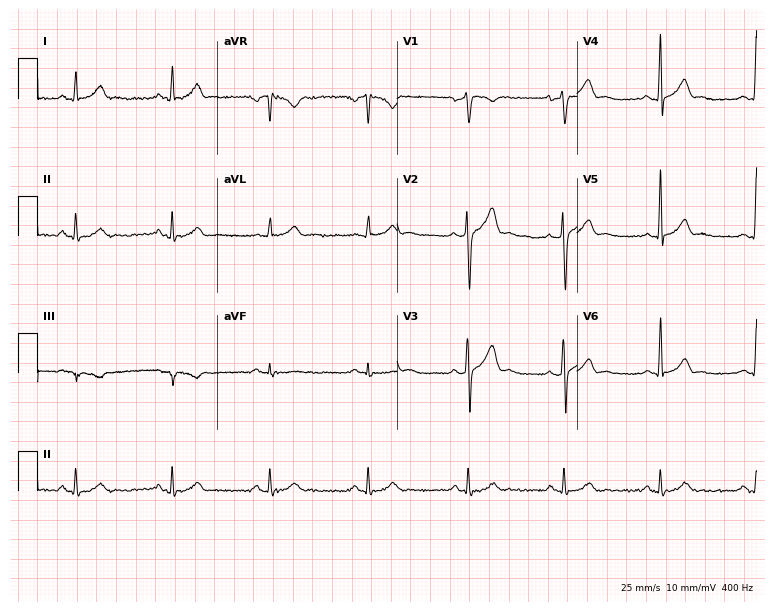
12-lead ECG from a 36-year-old male patient. Labelled as a normal ECG.